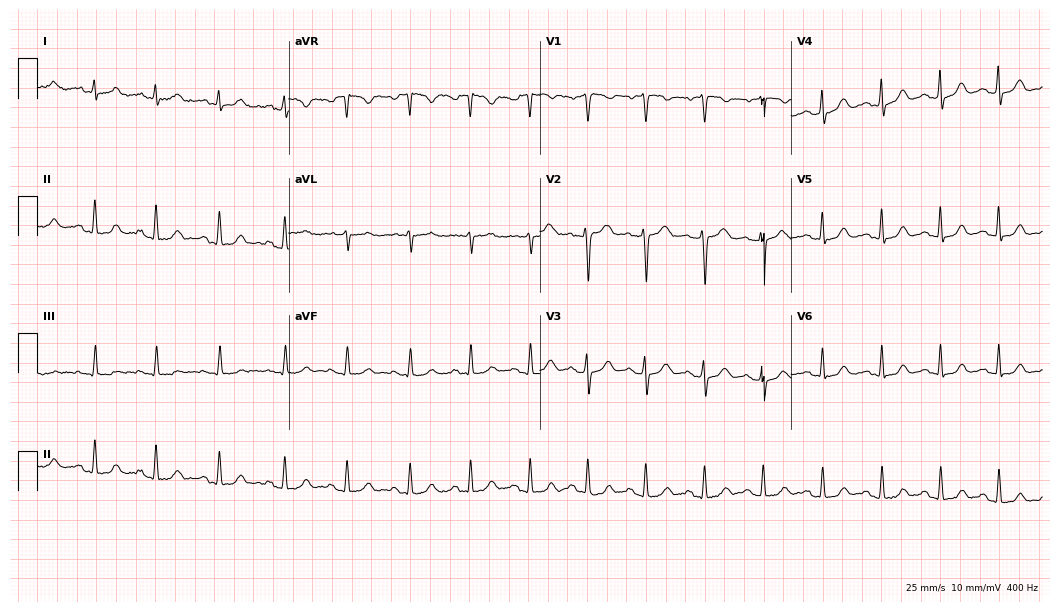
Electrocardiogram, a 31-year-old female patient. Of the six screened findings (first-degree AV block, right bundle branch block (RBBB), left bundle branch block (LBBB), sinus bradycardia, atrial fibrillation (AF), sinus tachycardia), none is recorded. Other findings, if any, are not listed.